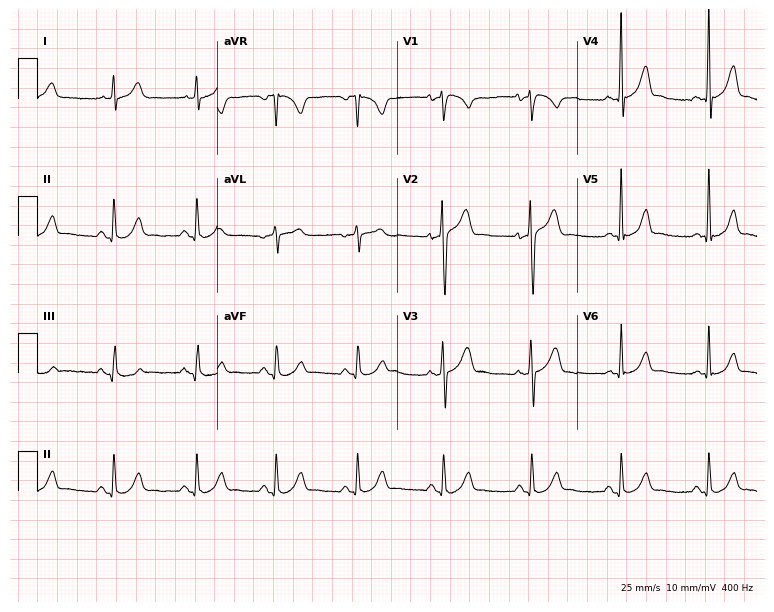
Electrocardiogram, a man, 51 years old. Overall reading on record: normal ECG.